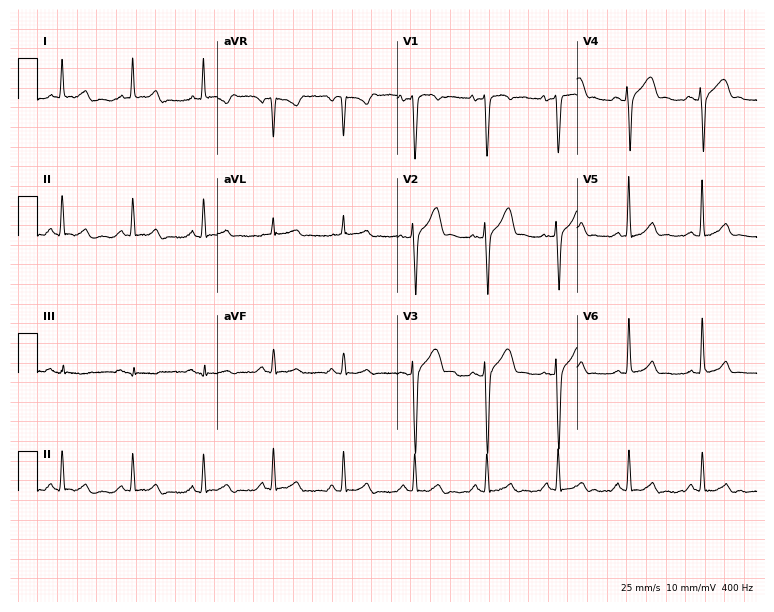
ECG (7.3-second recording at 400 Hz) — a 47-year-old male patient. Screened for six findings — first-degree AV block, right bundle branch block, left bundle branch block, sinus bradycardia, atrial fibrillation, sinus tachycardia — none is recorded.